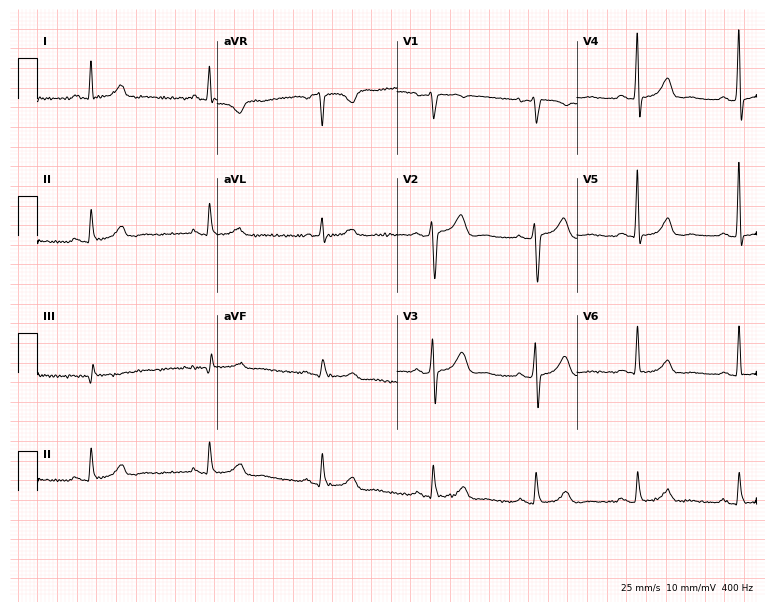
12-lead ECG from a woman, 56 years old. Screened for six findings — first-degree AV block, right bundle branch block, left bundle branch block, sinus bradycardia, atrial fibrillation, sinus tachycardia — none is recorded. Findings outside these six are not listed.